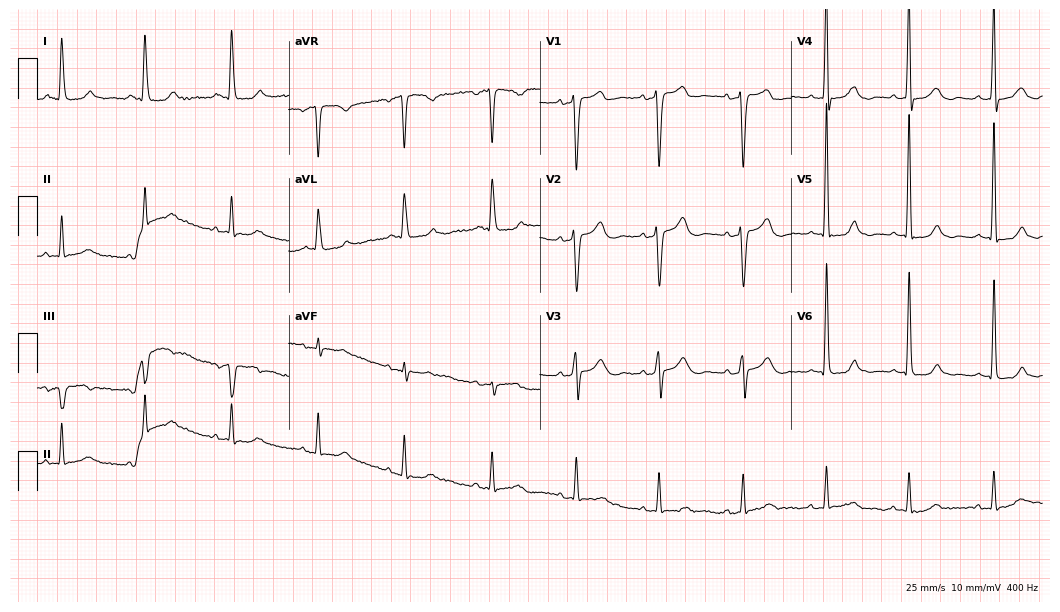
Standard 12-lead ECG recorded from a female patient, 78 years old (10.2-second recording at 400 Hz). None of these six findings is recorded: first-degree AV block, right bundle branch block, left bundle branch block, sinus bradycardia, atrial fibrillation, sinus tachycardia. Findings outside these six are not listed.